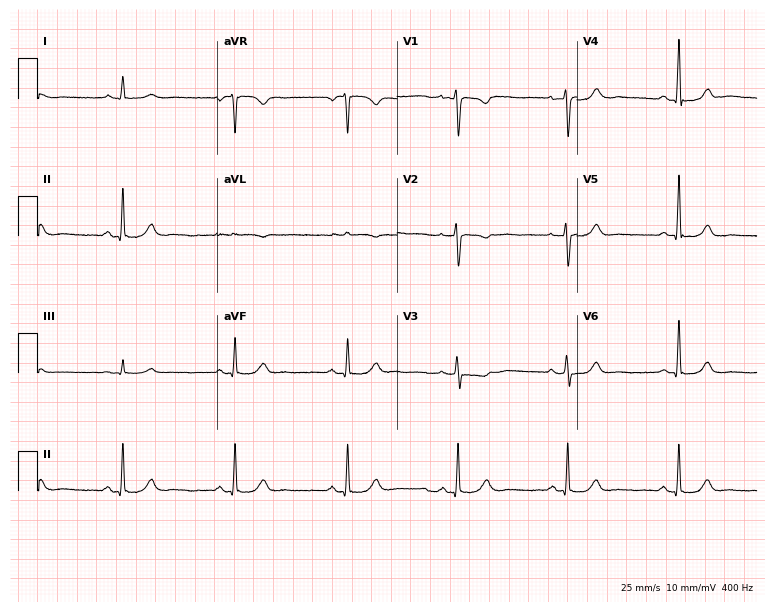
12-lead ECG from a female, 63 years old. Recorded interpretation: within normal limits.